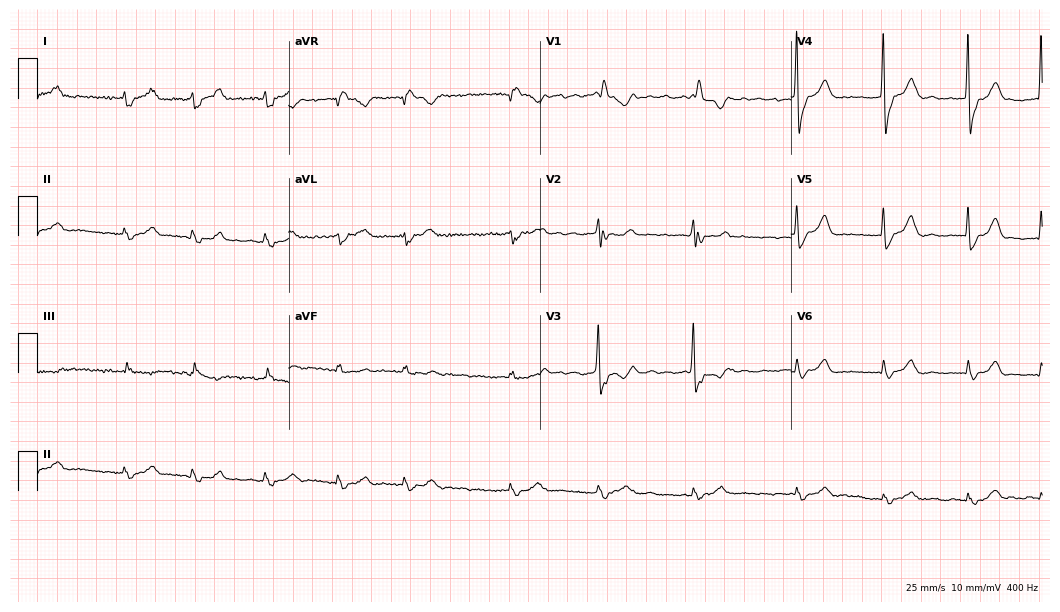
12-lead ECG (10.2-second recording at 400 Hz) from a 78-year-old male patient. Findings include right bundle branch block, atrial fibrillation.